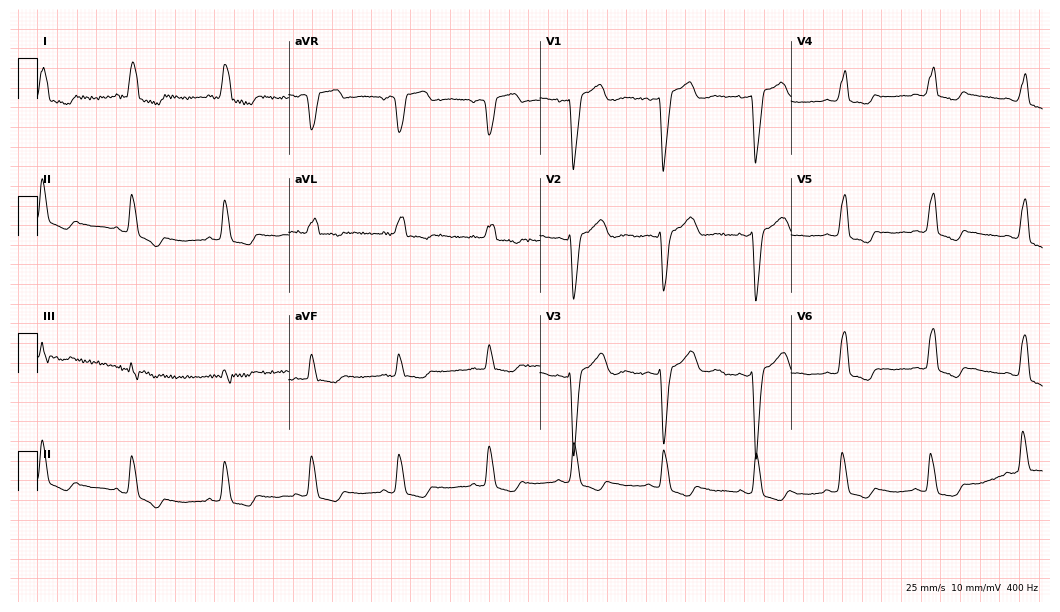
12-lead ECG from a woman, 51 years old. Findings include left bundle branch block.